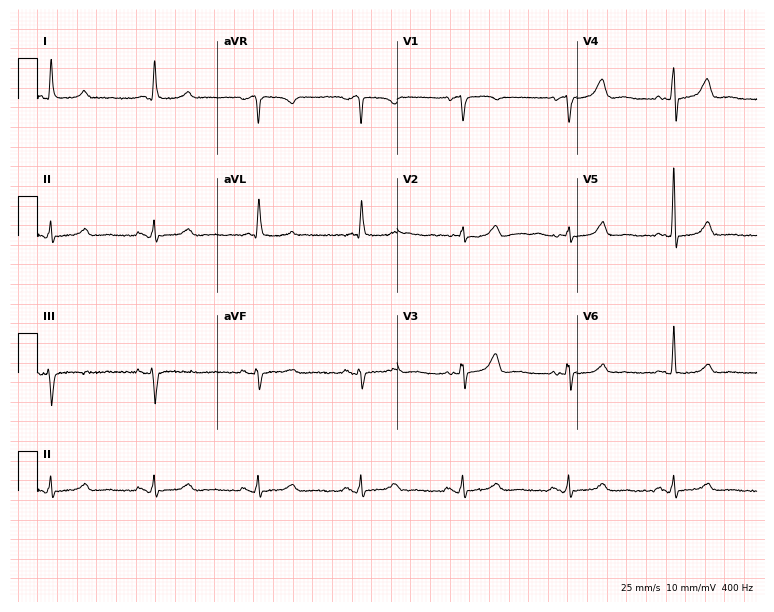
Resting 12-lead electrocardiogram. Patient: a woman, 75 years old. Read as a normal ECG.